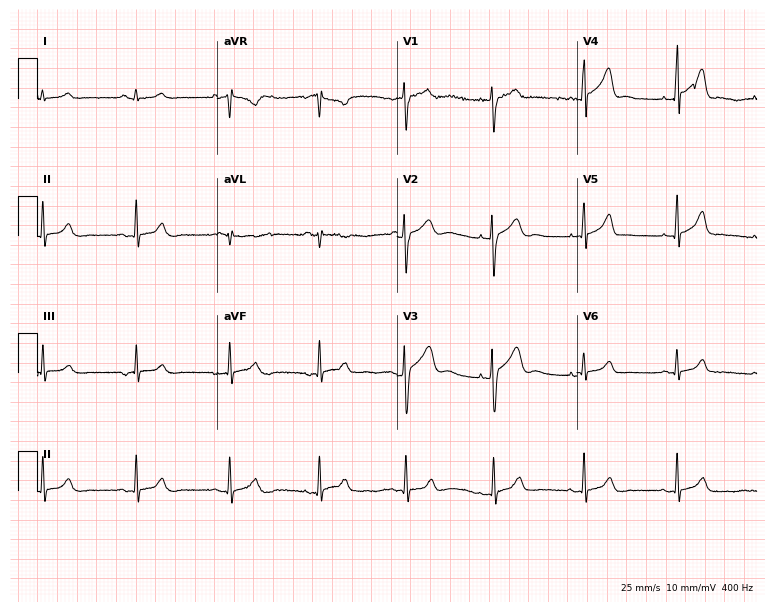
ECG (7.3-second recording at 400 Hz) — a man, 27 years old. Labelled as a normal ECG.